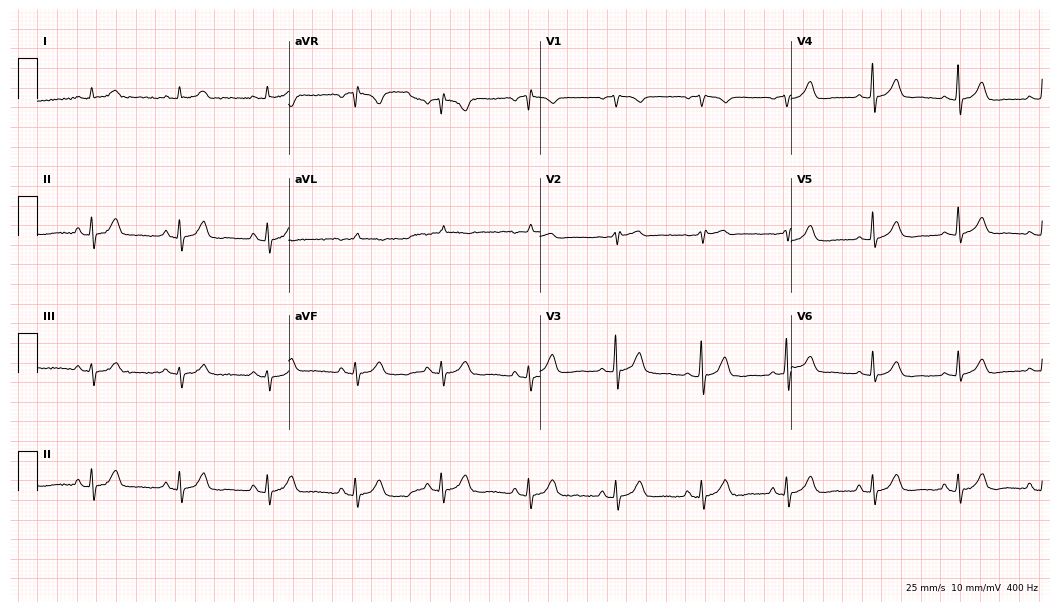
Resting 12-lead electrocardiogram. Patient: a man, 71 years old. Read as a normal ECG.